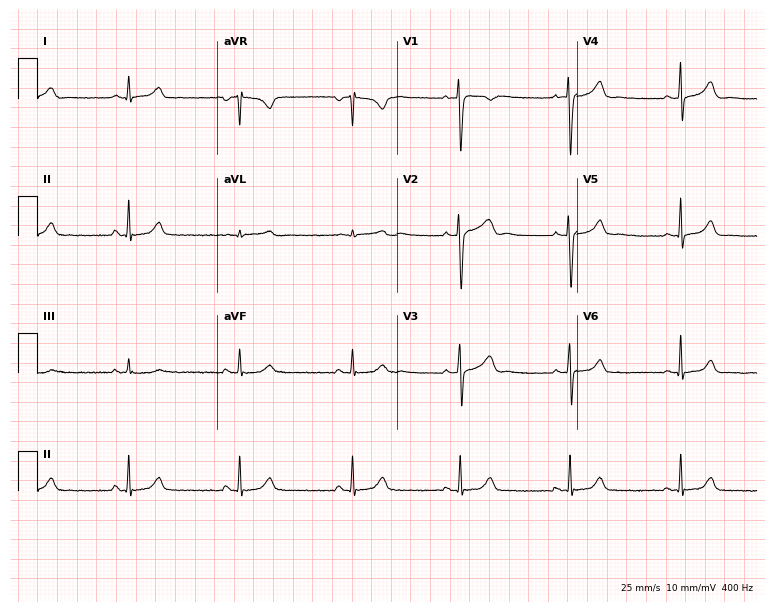
Resting 12-lead electrocardiogram. Patient: a female, 26 years old. Read as a normal ECG.